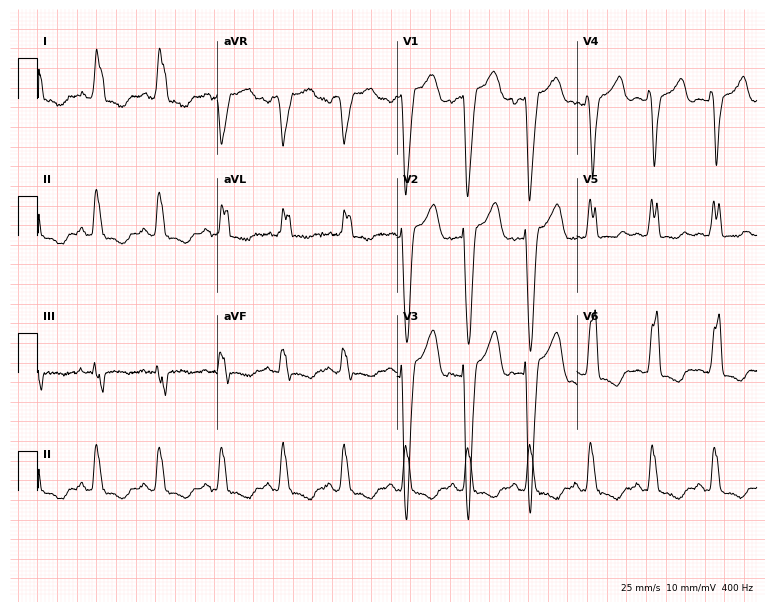
12-lead ECG from a female patient, 61 years old (7.3-second recording at 400 Hz). Shows left bundle branch block (LBBB).